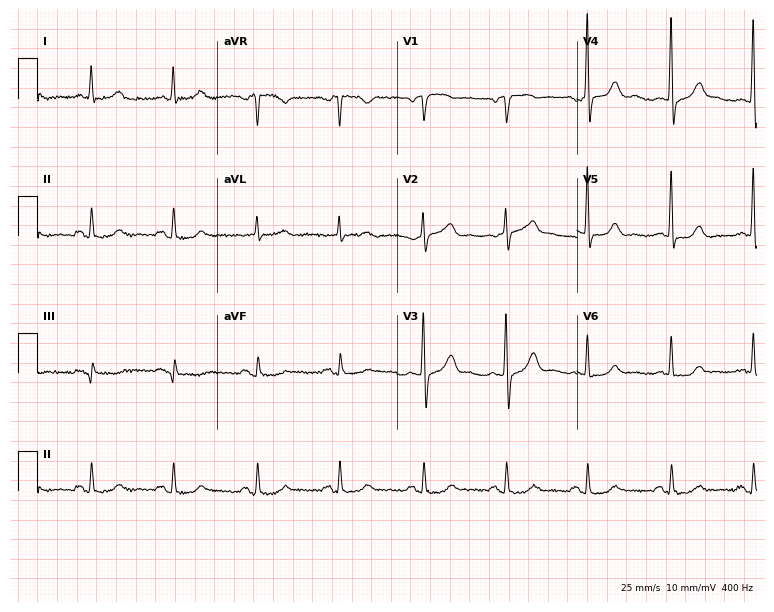
Standard 12-lead ECG recorded from a male, 79 years old. Read as a normal ECG.